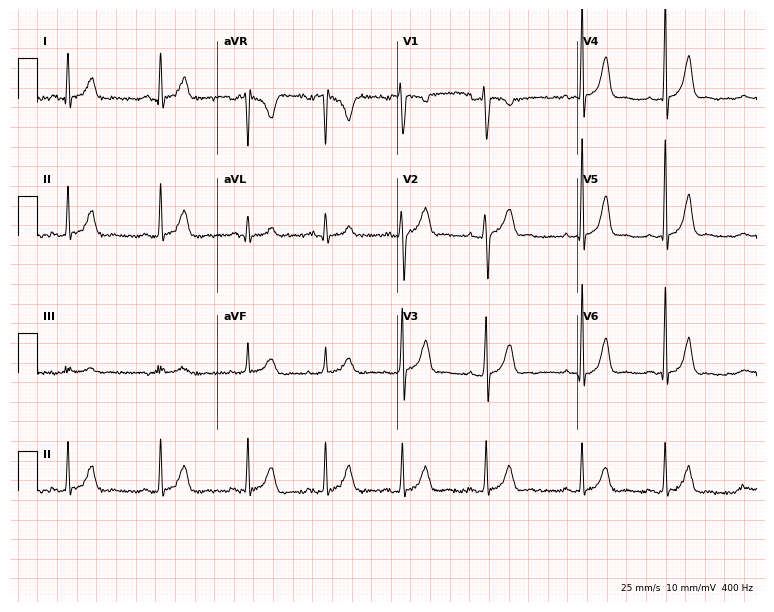
ECG (7.3-second recording at 400 Hz) — a man, 17 years old. Labelled as a normal ECG.